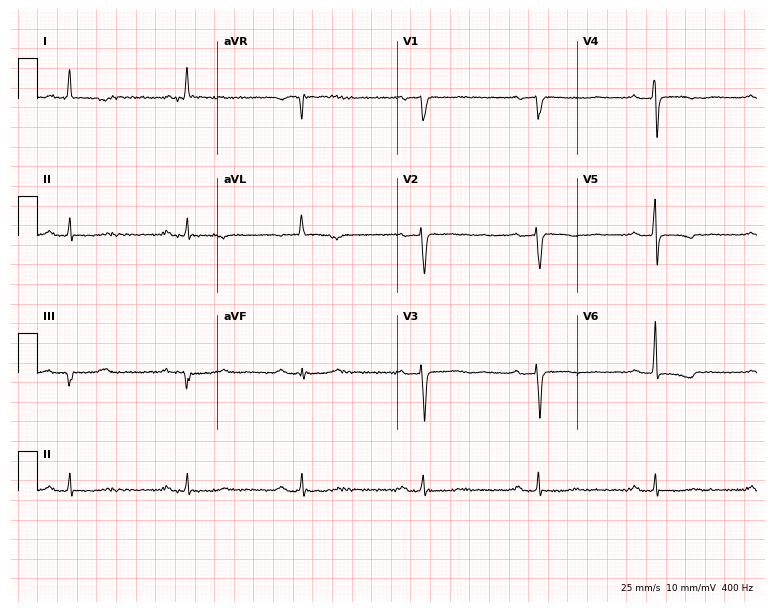
12-lead ECG from a 67-year-old female (7.3-second recording at 400 Hz). Shows first-degree AV block.